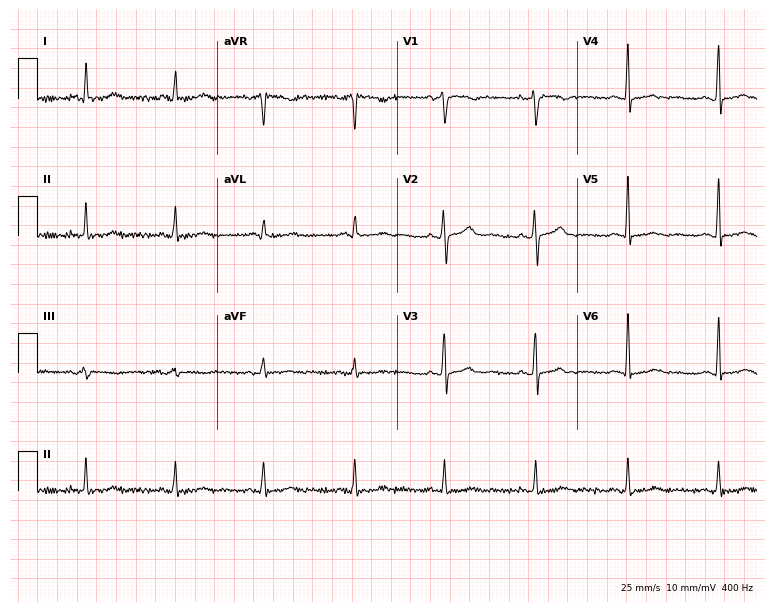
ECG — a female, 46 years old. Screened for six findings — first-degree AV block, right bundle branch block, left bundle branch block, sinus bradycardia, atrial fibrillation, sinus tachycardia — none is recorded.